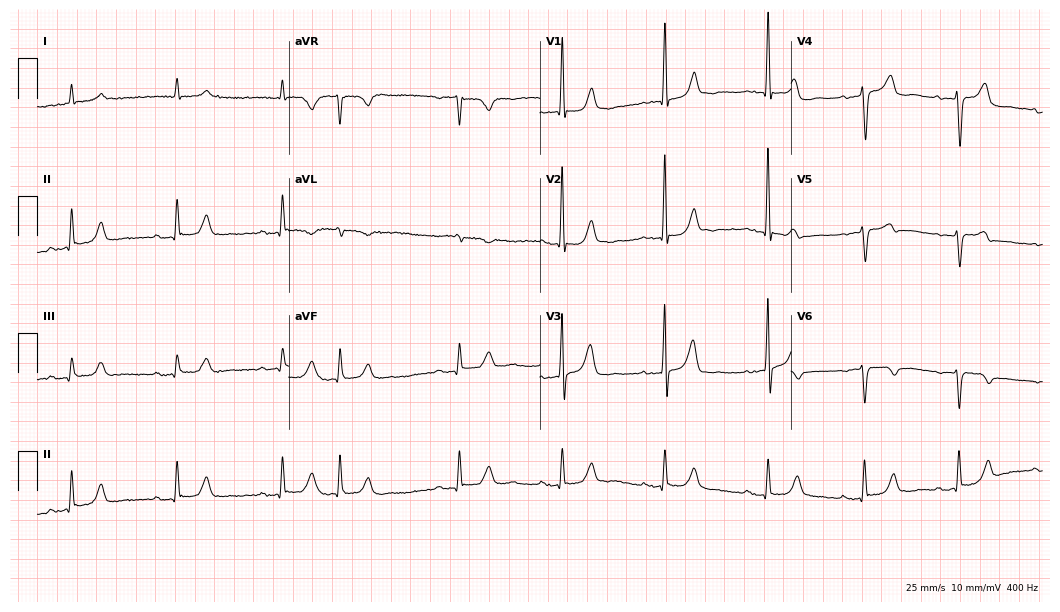
Resting 12-lead electrocardiogram (10.2-second recording at 400 Hz). Patient: an 81-year-old male. Read as a normal ECG.